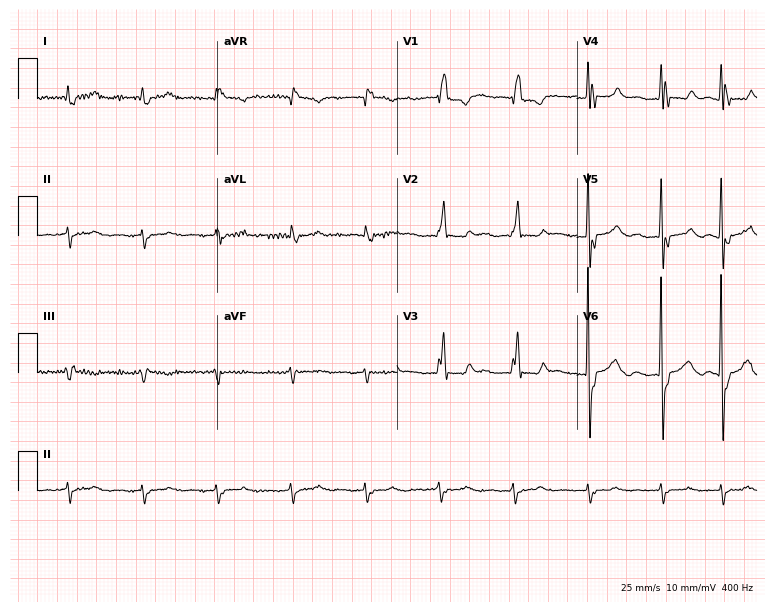
ECG (7.3-second recording at 400 Hz) — a 78-year-old man. Screened for six findings — first-degree AV block, right bundle branch block (RBBB), left bundle branch block (LBBB), sinus bradycardia, atrial fibrillation (AF), sinus tachycardia — none is recorded.